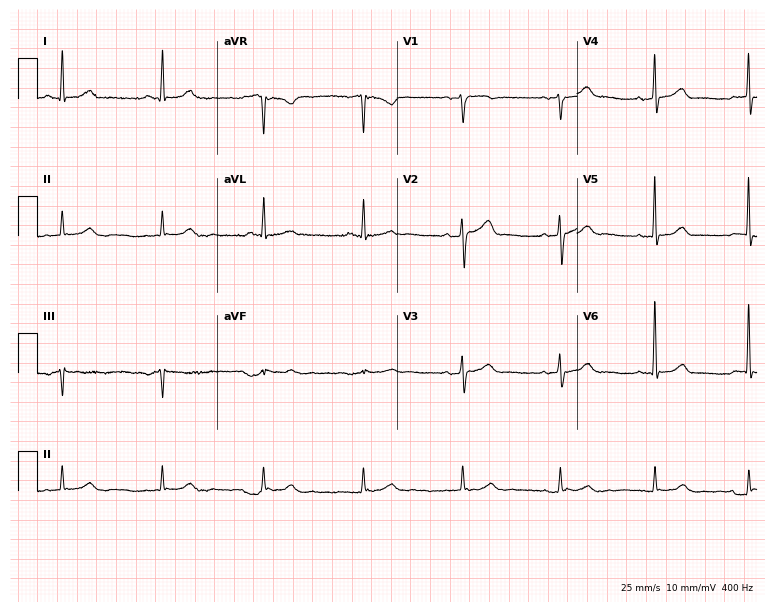
ECG — a male, 54 years old. Screened for six findings — first-degree AV block, right bundle branch block (RBBB), left bundle branch block (LBBB), sinus bradycardia, atrial fibrillation (AF), sinus tachycardia — none is recorded. Findings outside these six are not listed.